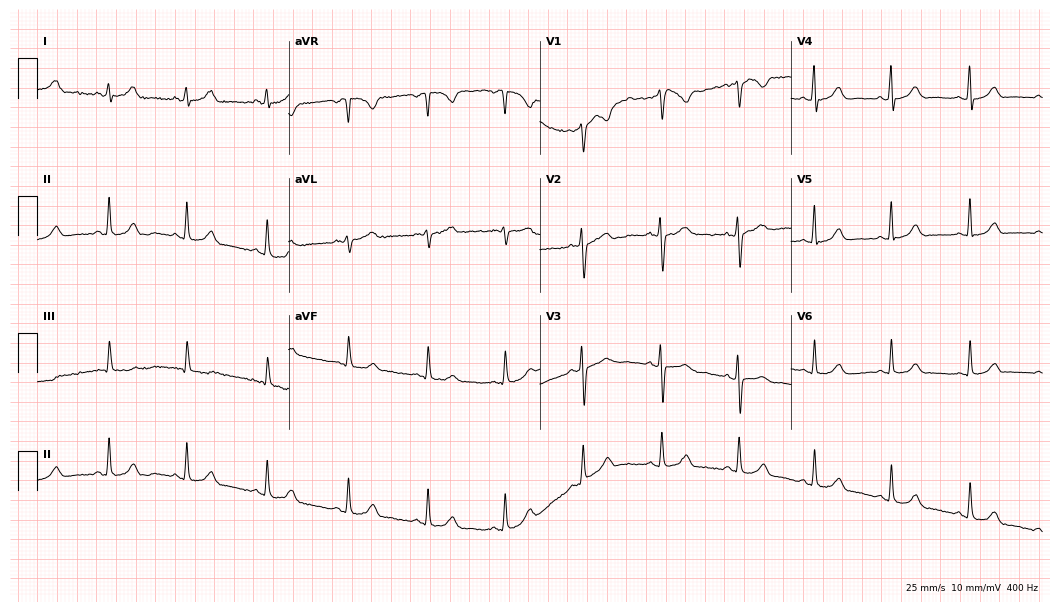
12-lead ECG from a 29-year-old woman. Labelled as a normal ECG.